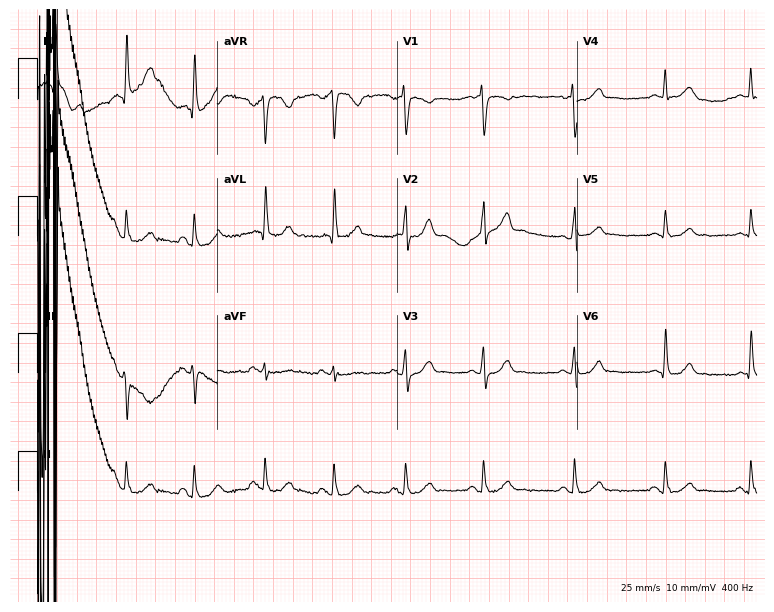
ECG (7.3-second recording at 400 Hz) — a 39-year-old female. Labelled as a normal ECG.